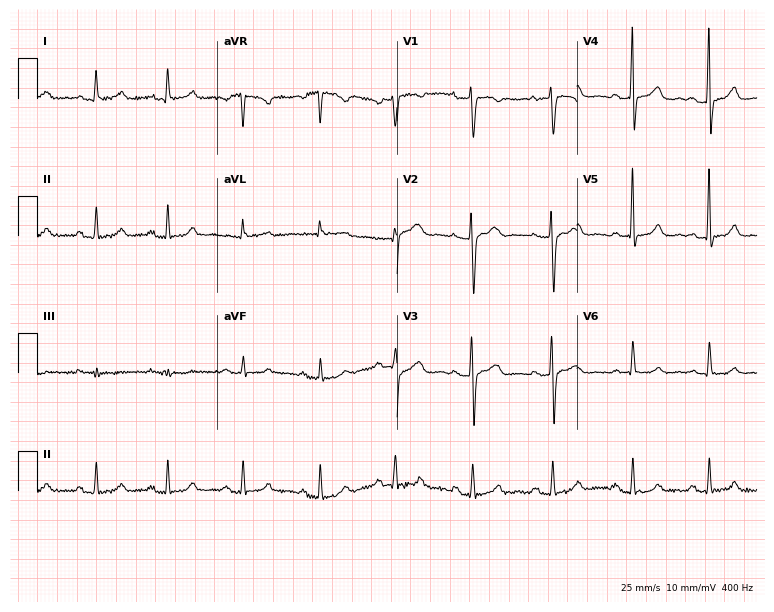
12-lead ECG from a woman, 57 years old. Labelled as a normal ECG.